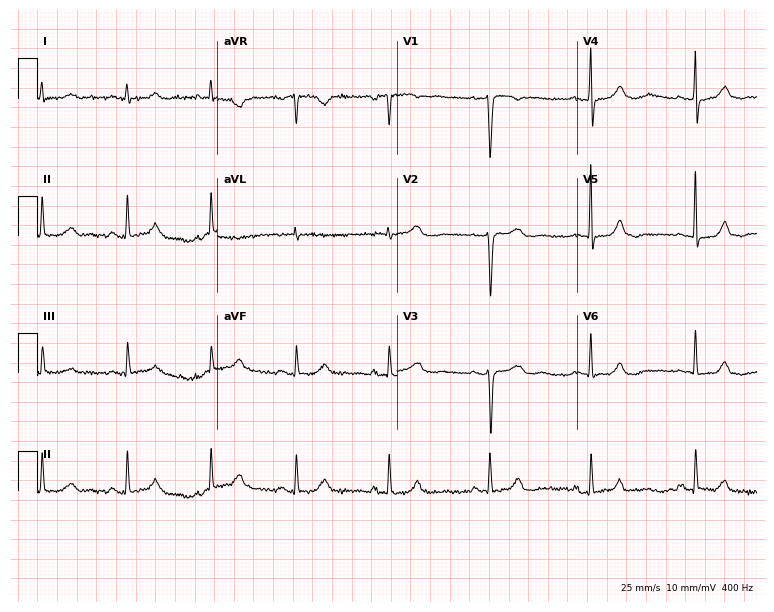
Resting 12-lead electrocardiogram (7.3-second recording at 400 Hz). Patient: a female, 59 years old. None of these six findings is recorded: first-degree AV block, right bundle branch block, left bundle branch block, sinus bradycardia, atrial fibrillation, sinus tachycardia. Findings outside these six are not listed.